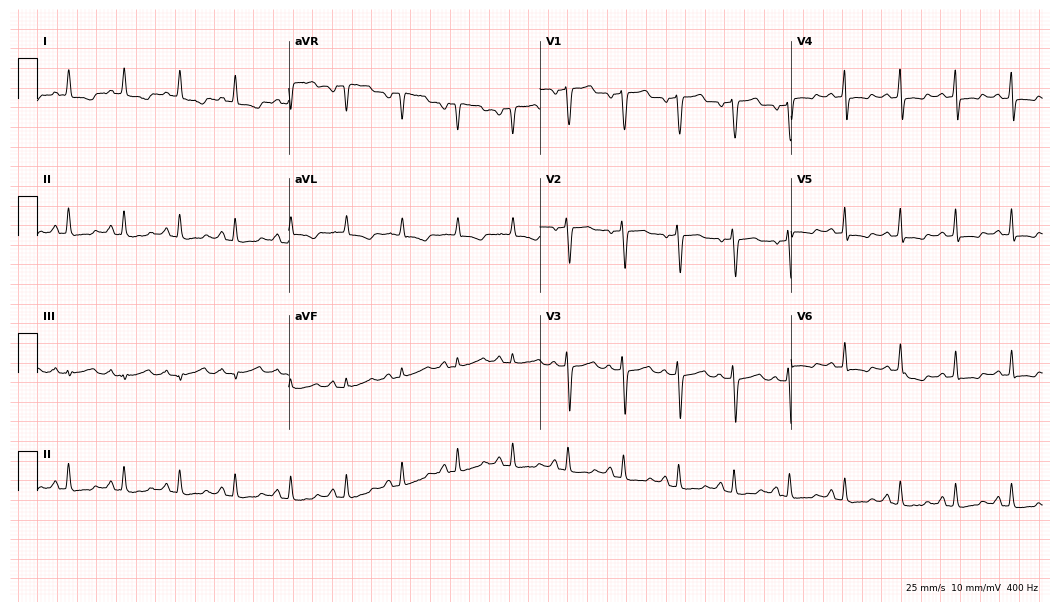
12-lead ECG from a 75-year-old female patient (10.2-second recording at 400 Hz). Shows sinus tachycardia (a sinus rate of 100 beats per minute or more).